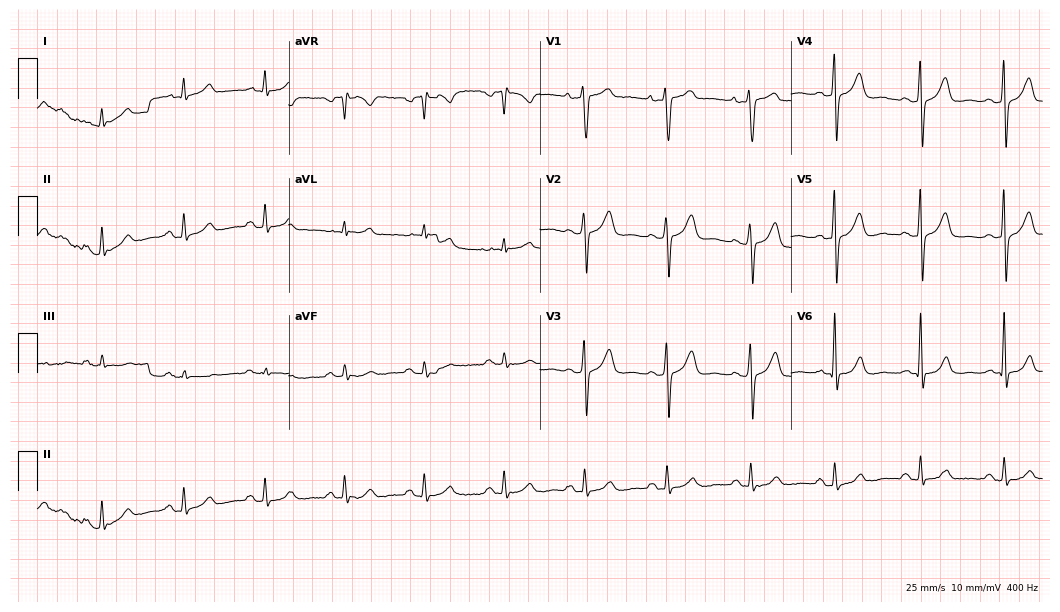
ECG (10.2-second recording at 400 Hz) — a 44-year-old male. Labelled as a normal ECG.